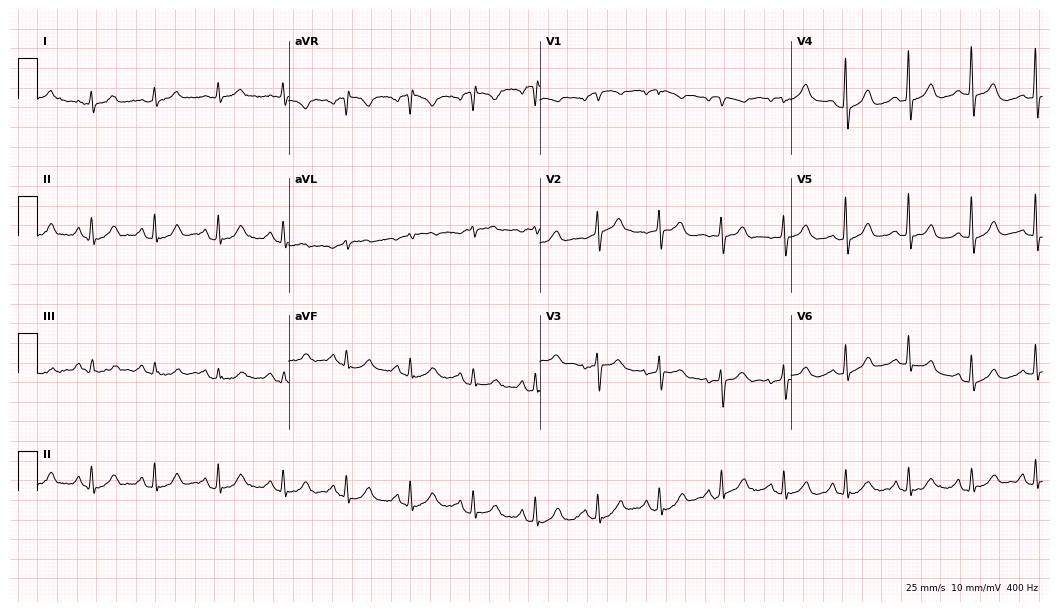
Standard 12-lead ECG recorded from an 85-year-old female. Read as a normal ECG.